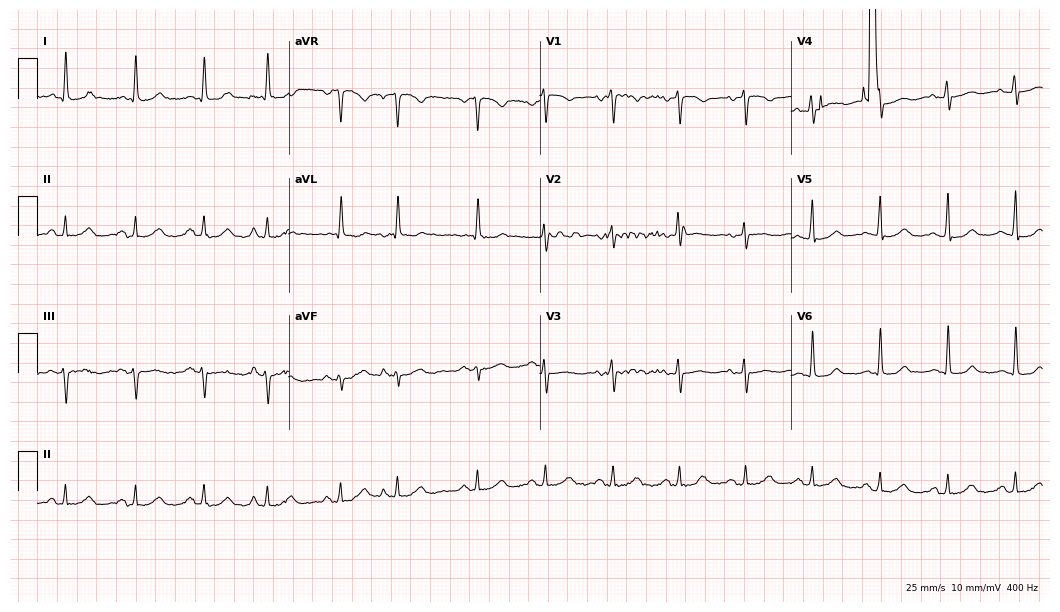
Standard 12-lead ECG recorded from a female patient, 64 years old (10.2-second recording at 400 Hz). None of these six findings is recorded: first-degree AV block, right bundle branch block, left bundle branch block, sinus bradycardia, atrial fibrillation, sinus tachycardia.